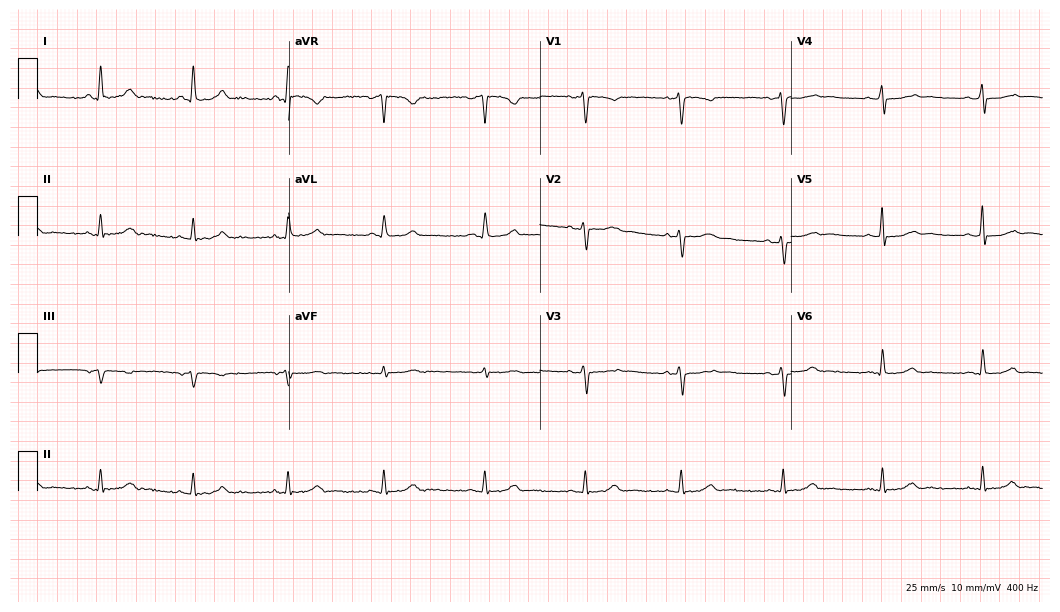
Standard 12-lead ECG recorded from a 56-year-old woman (10.2-second recording at 400 Hz). None of these six findings is recorded: first-degree AV block, right bundle branch block (RBBB), left bundle branch block (LBBB), sinus bradycardia, atrial fibrillation (AF), sinus tachycardia.